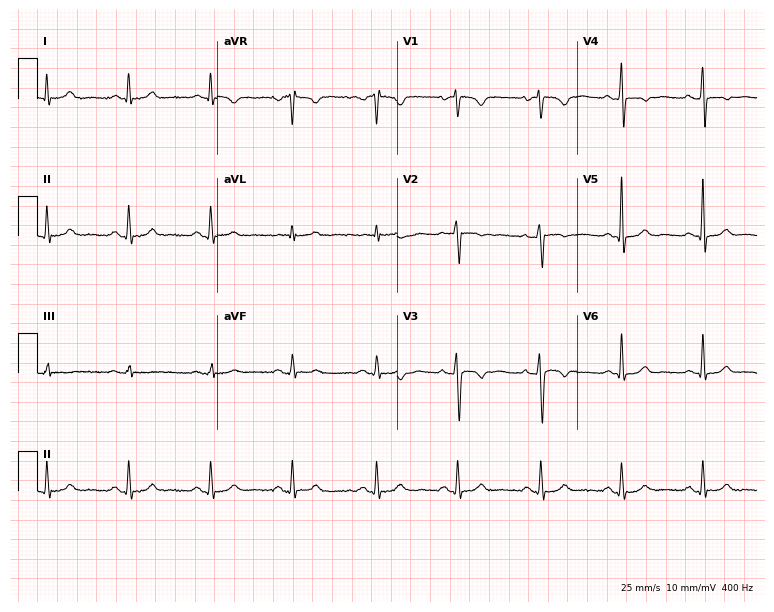
12-lead ECG (7.3-second recording at 400 Hz) from a 46-year-old female. Screened for six findings — first-degree AV block, right bundle branch block, left bundle branch block, sinus bradycardia, atrial fibrillation, sinus tachycardia — none is recorded.